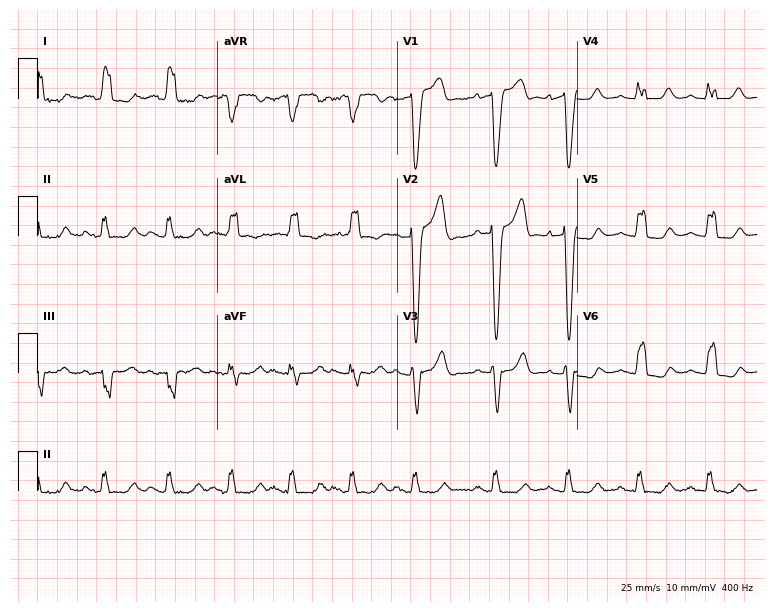
ECG (7.3-second recording at 400 Hz) — an 80-year-old female. Findings include left bundle branch block.